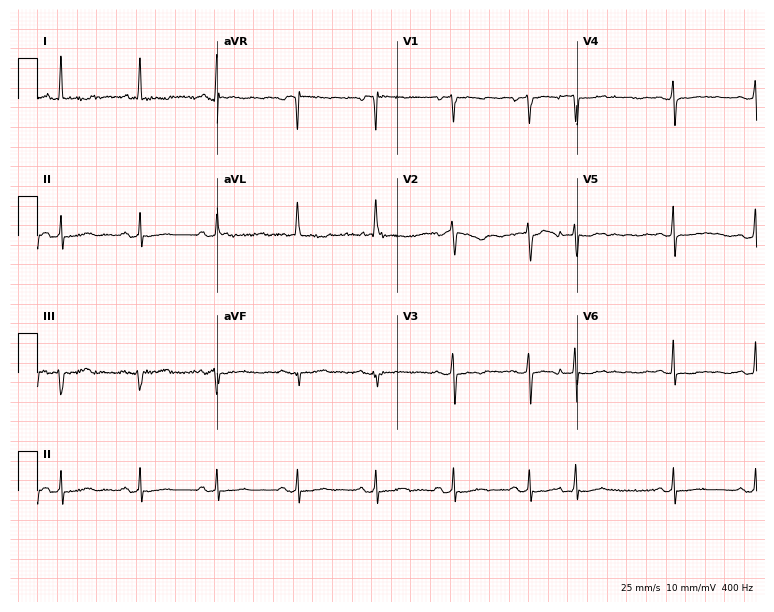
Resting 12-lead electrocardiogram (7.3-second recording at 400 Hz). Patient: a woman, 79 years old. None of these six findings is recorded: first-degree AV block, right bundle branch block (RBBB), left bundle branch block (LBBB), sinus bradycardia, atrial fibrillation (AF), sinus tachycardia.